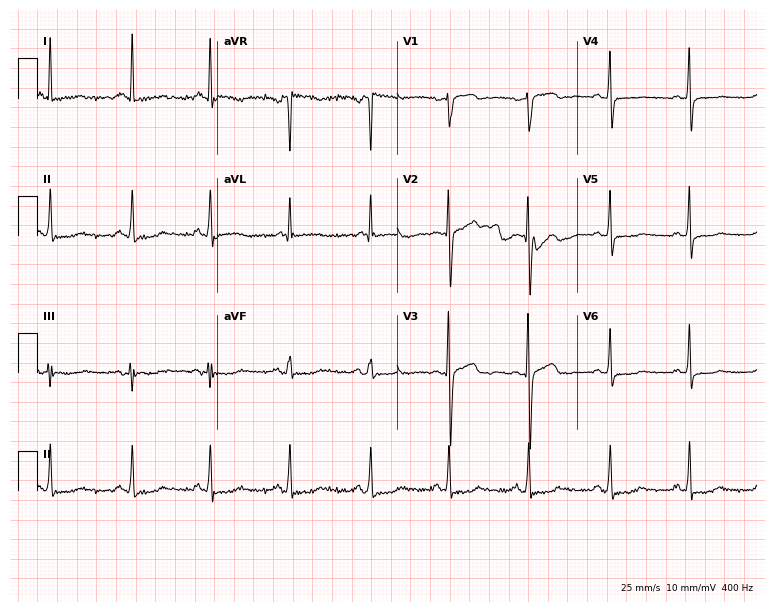
Standard 12-lead ECG recorded from a 34-year-old female patient (7.3-second recording at 400 Hz). None of these six findings is recorded: first-degree AV block, right bundle branch block, left bundle branch block, sinus bradycardia, atrial fibrillation, sinus tachycardia.